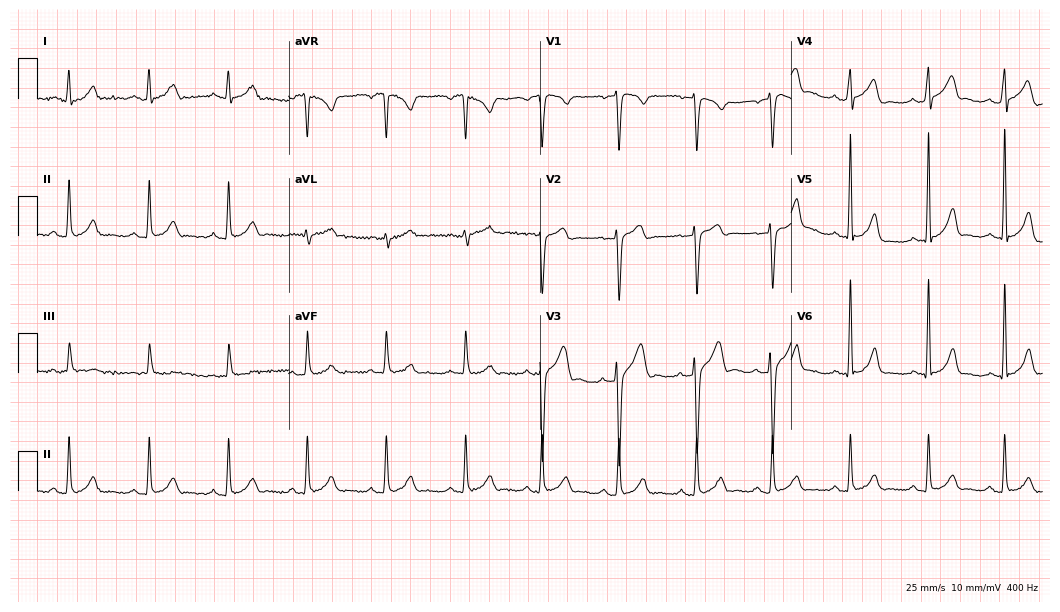
ECG — a man, 18 years old. Labelled as a normal ECG.